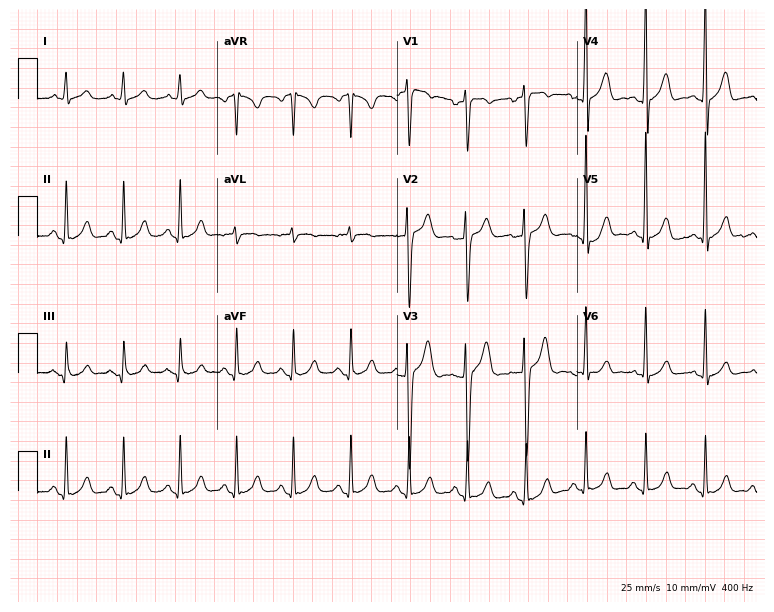
12-lead ECG from a man, 36 years old (7.3-second recording at 400 Hz). Shows sinus tachycardia (a sinus rate of 100 beats per minute or more).